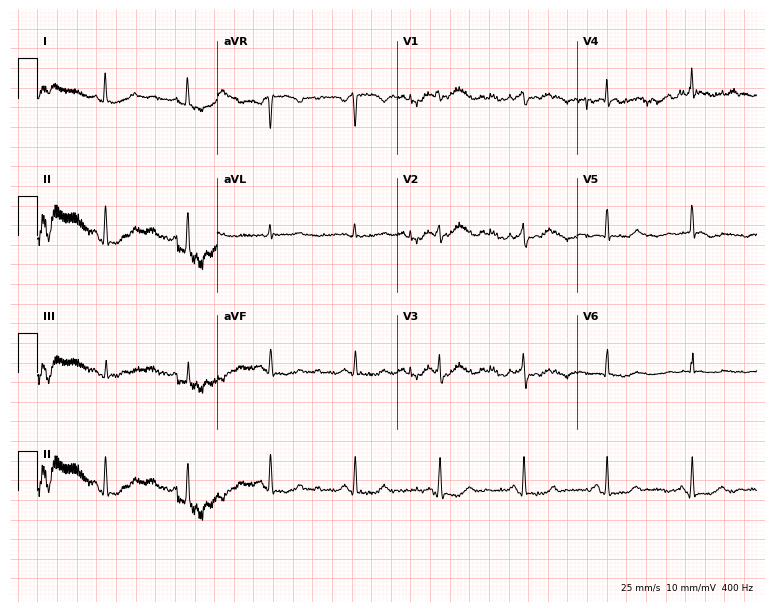
Resting 12-lead electrocardiogram. Patient: a female, 59 years old. None of these six findings is recorded: first-degree AV block, right bundle branch block, left bundle branch block, sinus bradycardia, atrial fibrillation, sinus tachycardia.